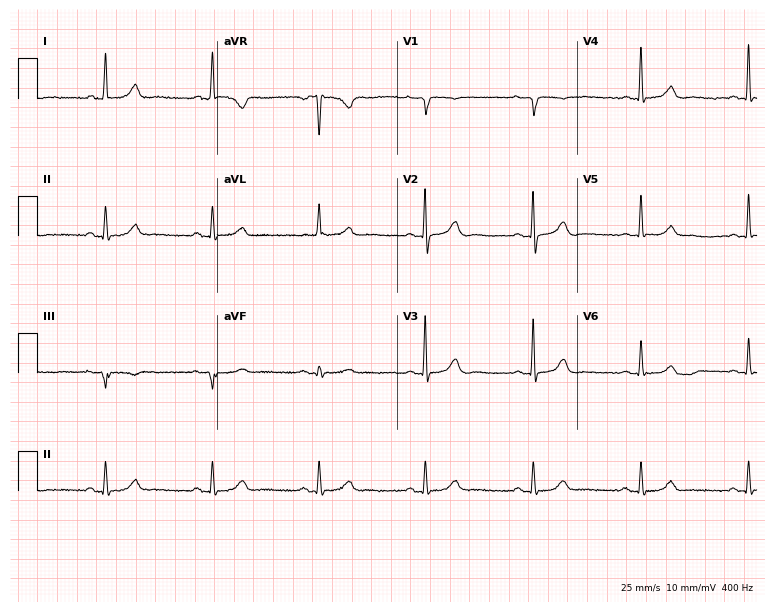
ECG — a female patient, 72 years old. Labelled as a normal ECG.